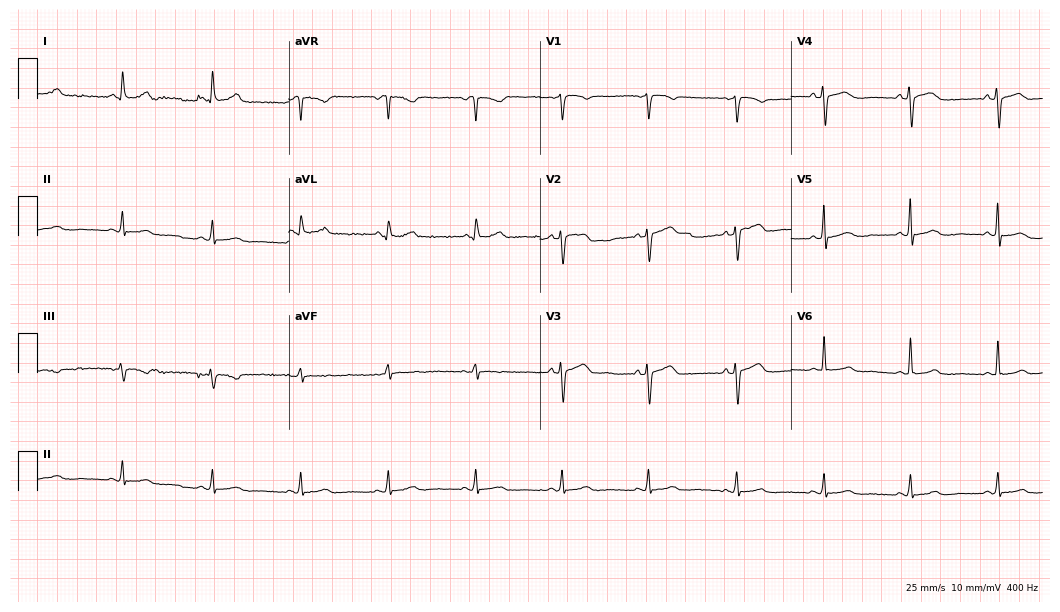
Electrocardiogram (10.2-second recording at 400 Hz), a female patient, 64 years old. Of the six screened findings (first-degree AV block, right bundle branch block, left bundle branch block, sinus bradycardia, atrial fibrillation, sinus tachycardia), none is recorded. Other findings, if any, are not listed.